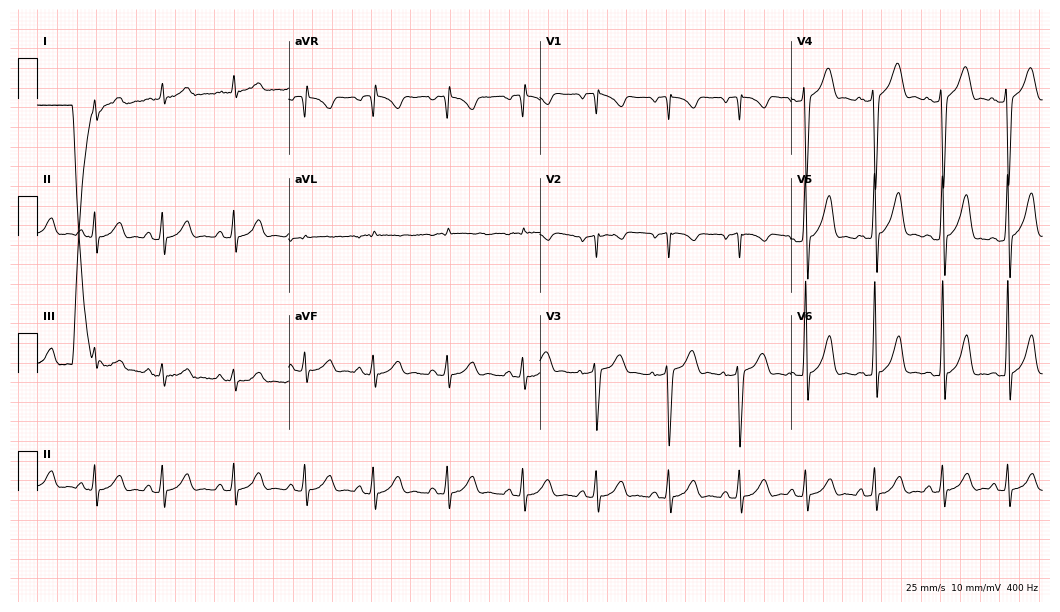
Standard 12-lead ECG recorded from a 39-year-old male (10.2-second recording at 400 Hz). None of these six findings is recorded: first-degree AV block, right bundle branch block, left bundle branch block, sinus bradycardia, atrial fibrillation, sinus tachycardia.